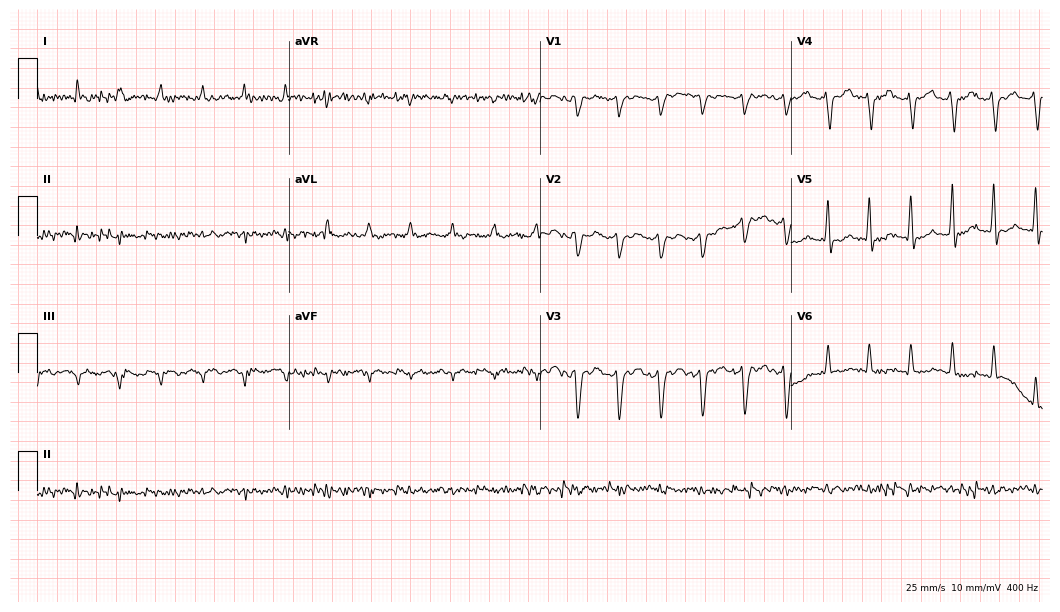
ECG — an 82-year-old man. Screened for six findings — first-degree AV block, right bundle branch block (RBBB), left bundle branch block (LBBB), sinus bradycardia, atrial fibrillation (AF), sinus tachycardia — none is recorded.